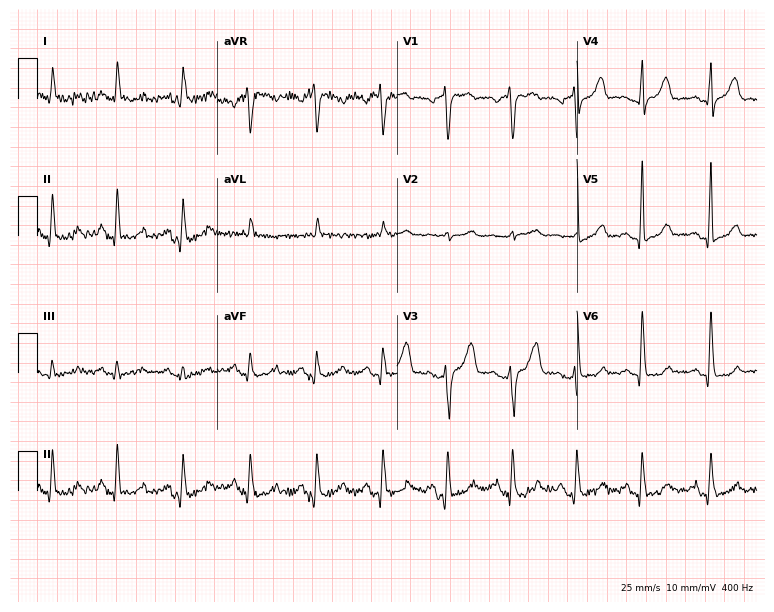
ECG — a 52-year-old male. Screened for six findings — first-degree AV block, right bundle branch block, left bundle branch block, sinus bradycardia, atrial fibrillation, sinus tachycardia — none is recorded.